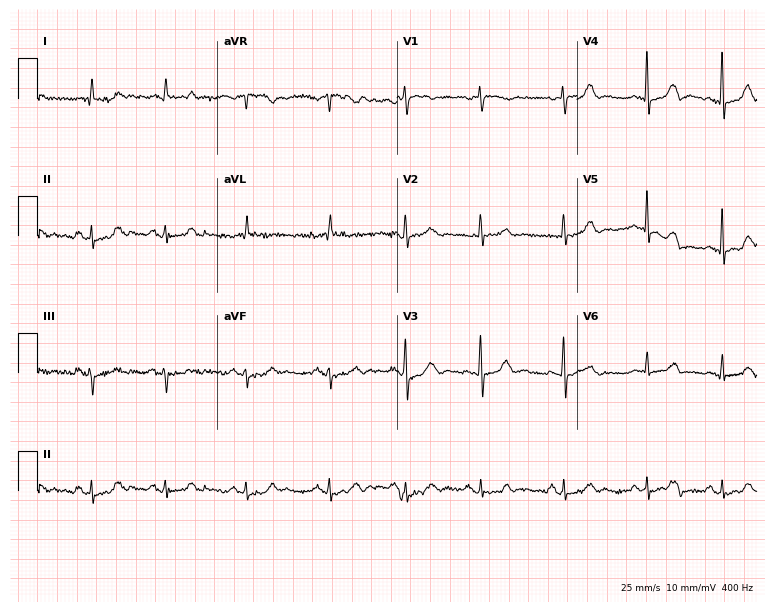
12-lead ECG from a female, 84 years old. Screened for six findings — first-degree AV block, right bundle branch block, left bundle branch block, sinus bradycardia, atrial fibrillation, sinus tachycardia — none is recorded. Findings outside these six are not listed.